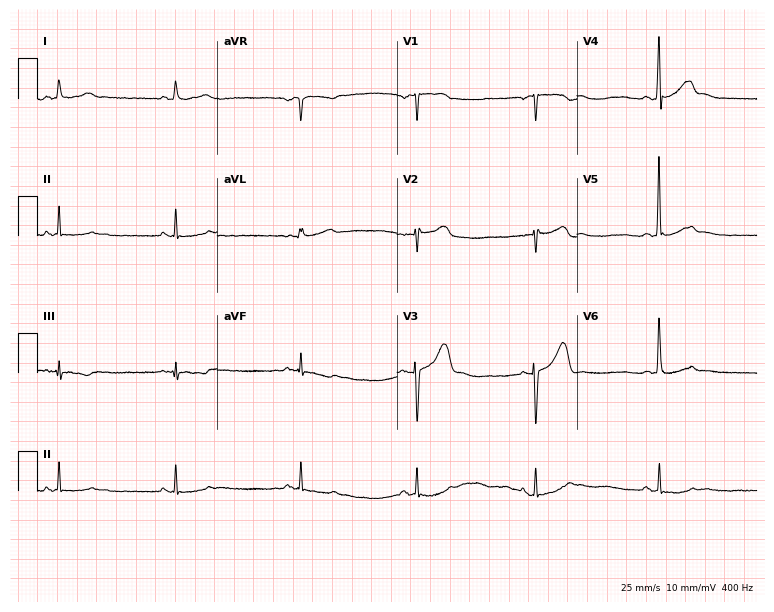
Electrocardiogram, a woman, 52 years old. Of the six screened findings (first-degree AV block, right bundle branch block, left bundle branch block, sinus bradycardia, atrial fibrillation, sinus tachycardia), none is recorded. Only these six findings were labelled.